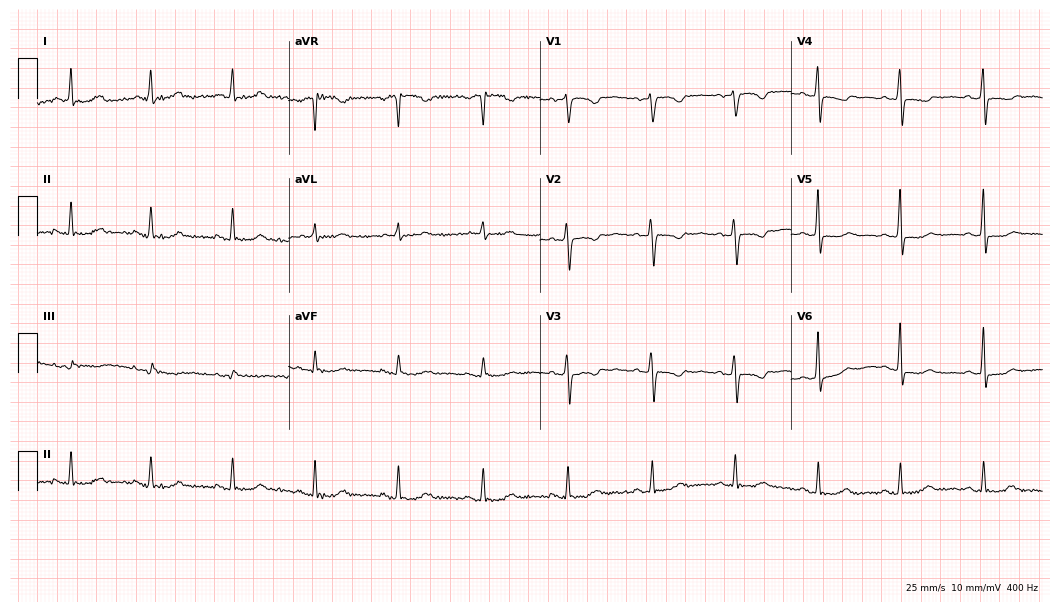
Resting 12-lead electrocardiogram (10.2-second recording at 400 Hz). Patient: a 67-year-old woman. None of these six findings is recorded: first-degree AV block, right bundle branch block, left bundle branch block, sinus bradycardia, atrial fibrillation, sinus tachycardia. Other findings, if any, are not listed.